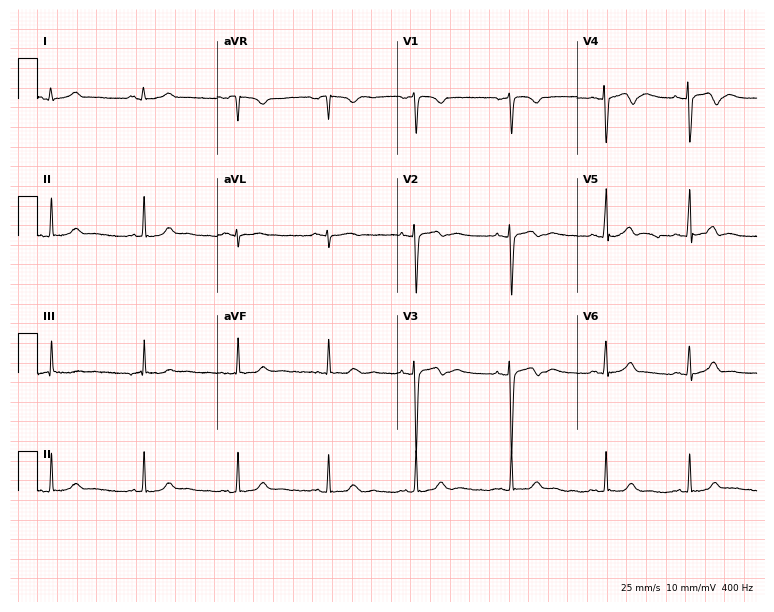
12-lead ECG (7.3-second recording at 400 Hz) from an 18-year-old woman. Labelled as a normal ECG.